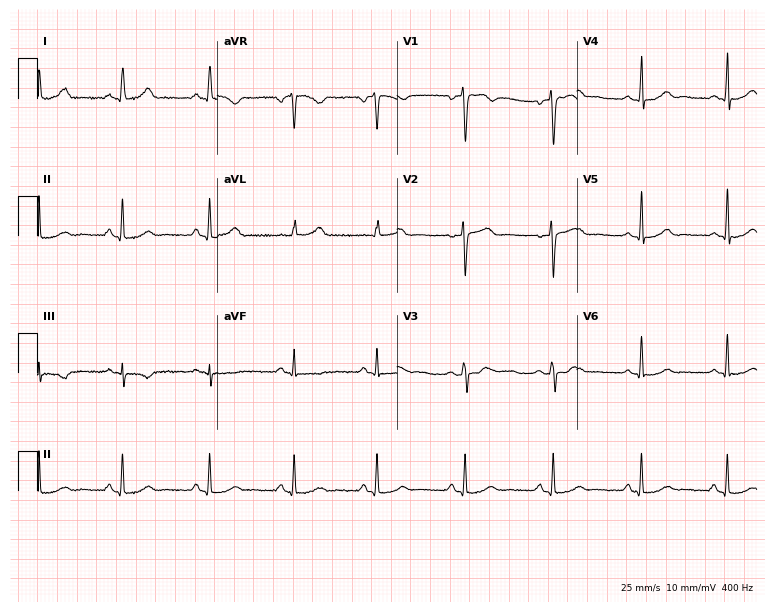
ECG — a 31-year-old female patient. Labelled as a normal ECG.